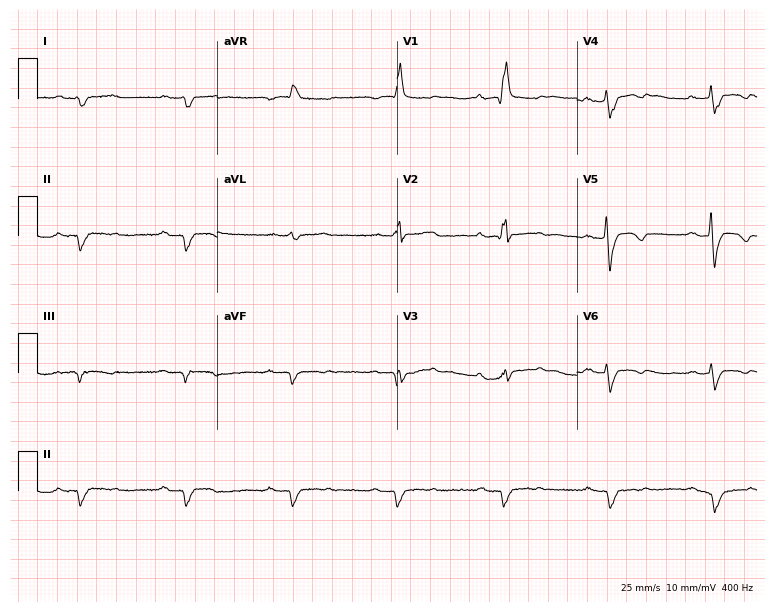
Standard 12-lead ECG recorded from a man, 62 years old. The tracing shows first-degree AV block, right bundle branch block.